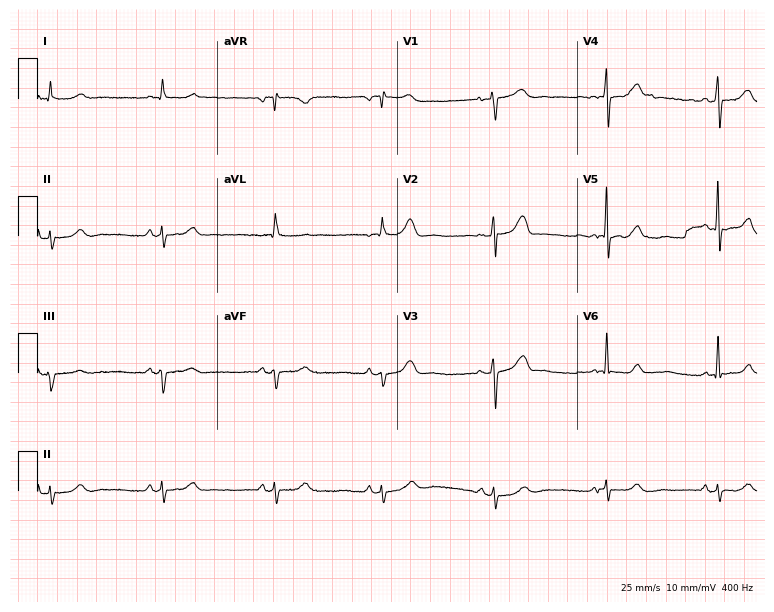
Resting 12-lead electrocardiogram. Patient: a woman, 75 years old. None of these six findings is recorded: first-degree AV block, right bundle branch block (RBBB), left bundle branch block (LBBB), sinus bradycardia, atrial fibrillation (AF), sinus tachycardia. Only these six findings were labelled.